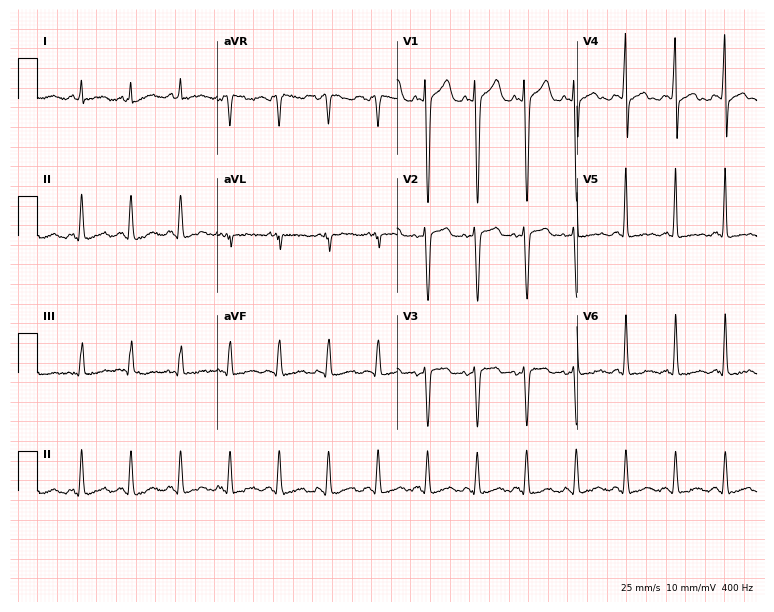
12-lead ECG (7.3-second recording at 400 Hz) from a female patient, 46 years old. Findings include sinus tachycardia (a sinus rate of 100 beats per minute or more).